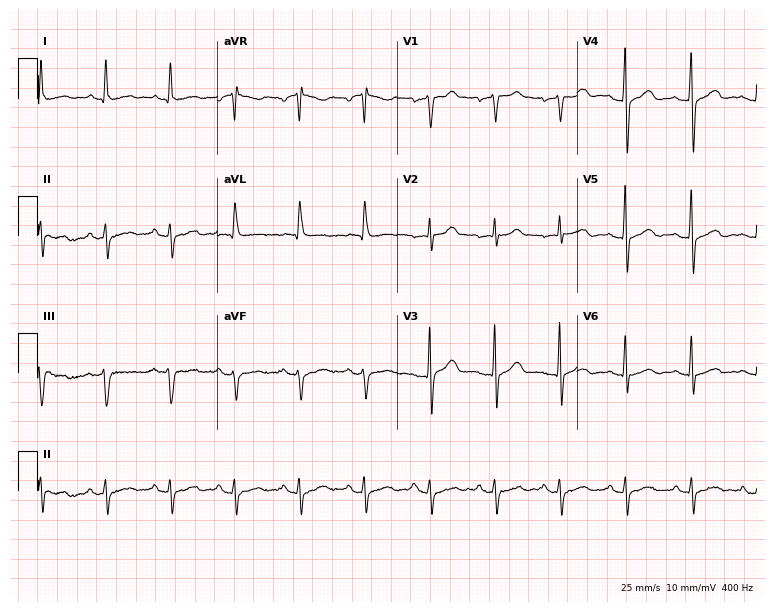
ECG (7.3-second recording at 400 Hz) — a 60-year-old male. Screened for six findings — first-degree AV block, right bundle branch block, left bundle branch block, sinus bradycardia, atrial fibrillation, sinus tachycardia — none is recorded.